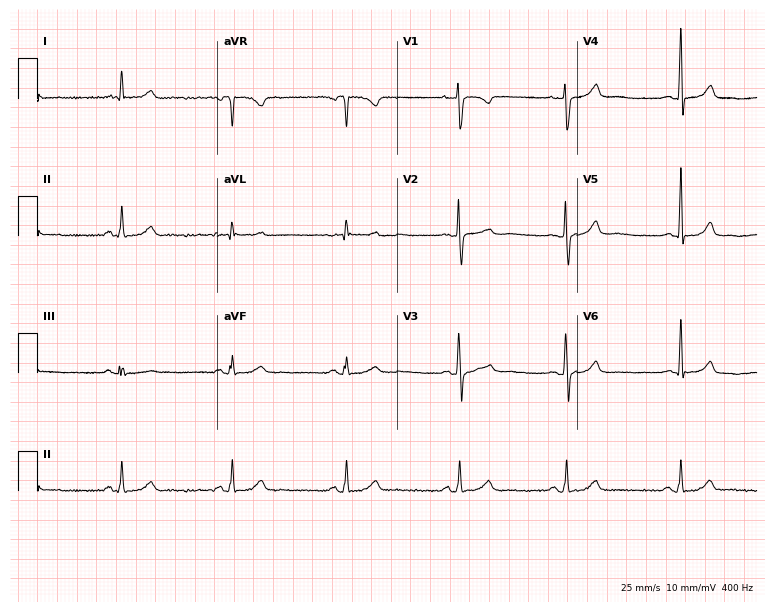
12-lead ECG (7.3-second recording at 400 Hz) from a 40-year-old female patient. Labelled as a normal ECG.